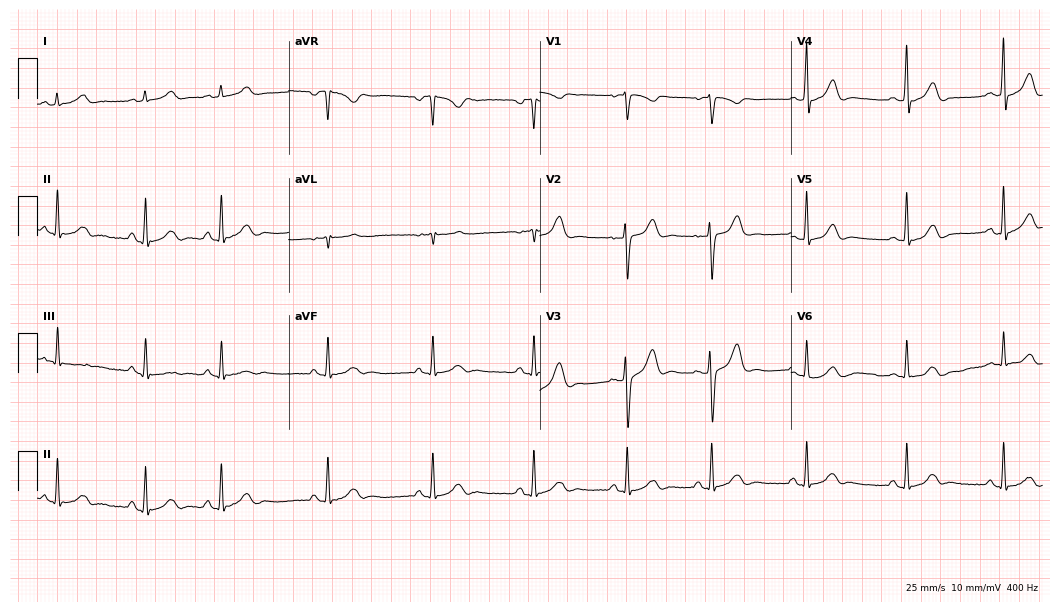
Electrocardiogram, a female patient, 22 years old. Overall reading on record: normal ECG.